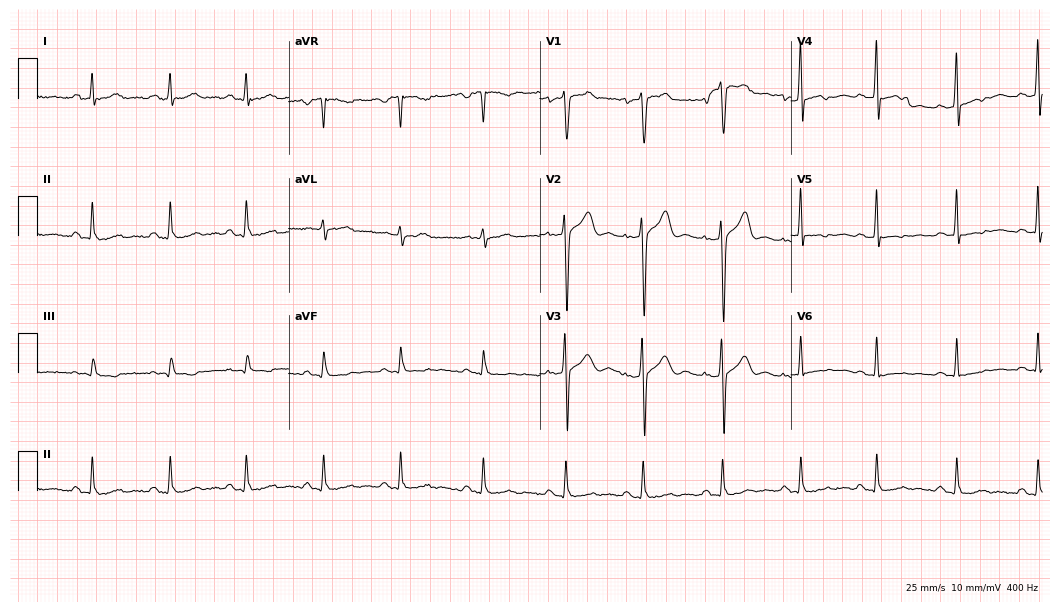
Electrocardiogram, a 45-year-old male. Of the six screened findings (first-degree AV block, right bundle branch block, left bundle branch block, sinus bradycardia, atrial fibrillation, sinus tachycardia), none is recorded. Findings outside these six are not listed.